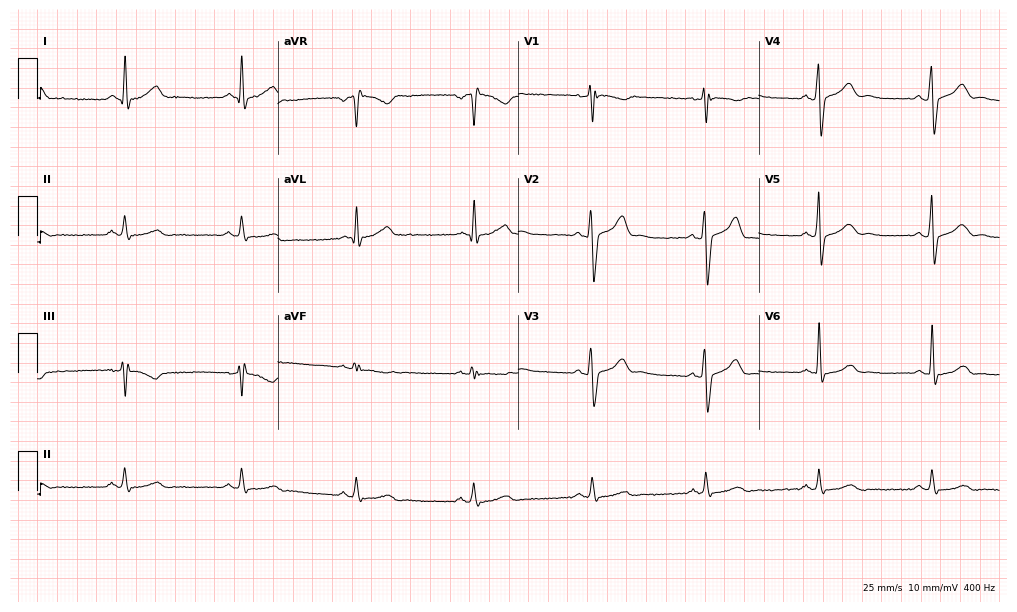
ECG — a man, 44 years old. Screened for six findings — first-degree AV block, right bundle branch block (RBBB), left bundle branch block (LBBB), sinus bradycardia, atrial fibrillation (AF), sinus tachycardia — none is recorded.